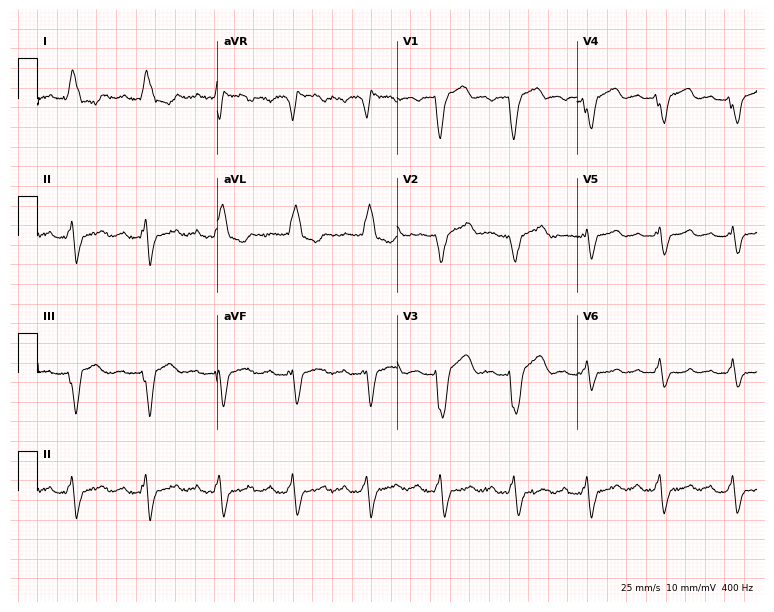
ECG (7.3-second recording at 400 Hz) — a 70-year-old male. Findings include left bundle branch block.